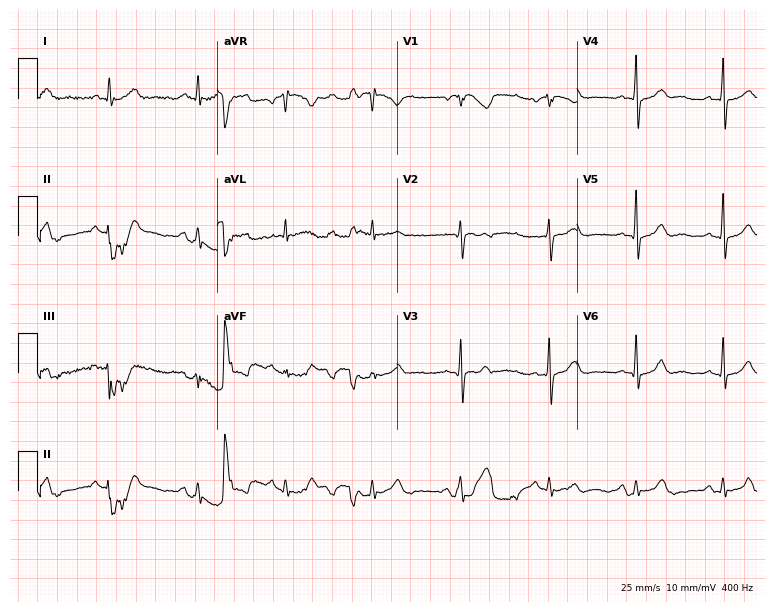
Standard 12-lead ECG recorded from a male patient, 72 years old. Read as a normal ECG.